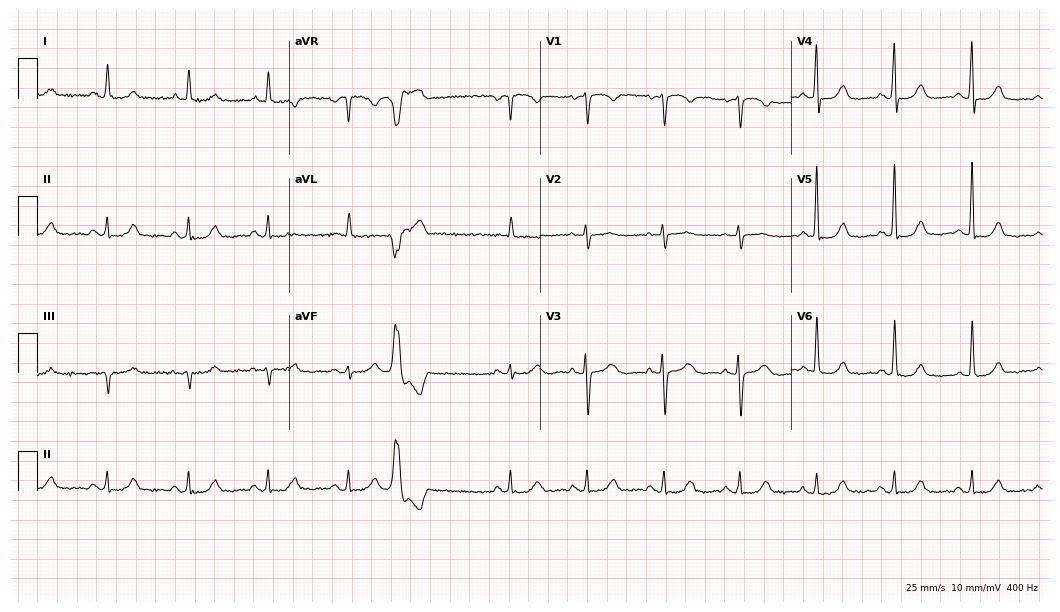
Electrocardiogram, a woman, 78 years old. Of the six screened findings (first-degree AV block, right bundle branch block, left bundle branch block, sinus bradycardia, atrial fibrillation, sinus tachycardia), none is recorded. Only these six findings were labelled.